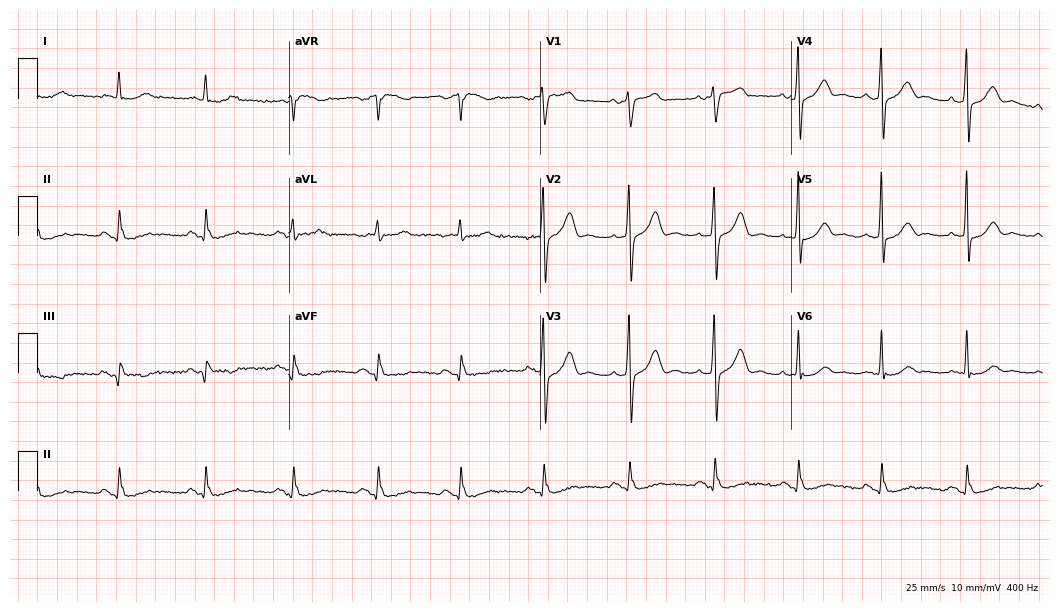
12-lead ECG from a 74-year-old man (10.2-second recording at 400 Hz). No first-degree AV block, right bundle branch block, left bundle branch block, sinus bradycardia, atrial fibrillation or sinus tachycardia recorded for this tracing. Only these six findings were labelled.